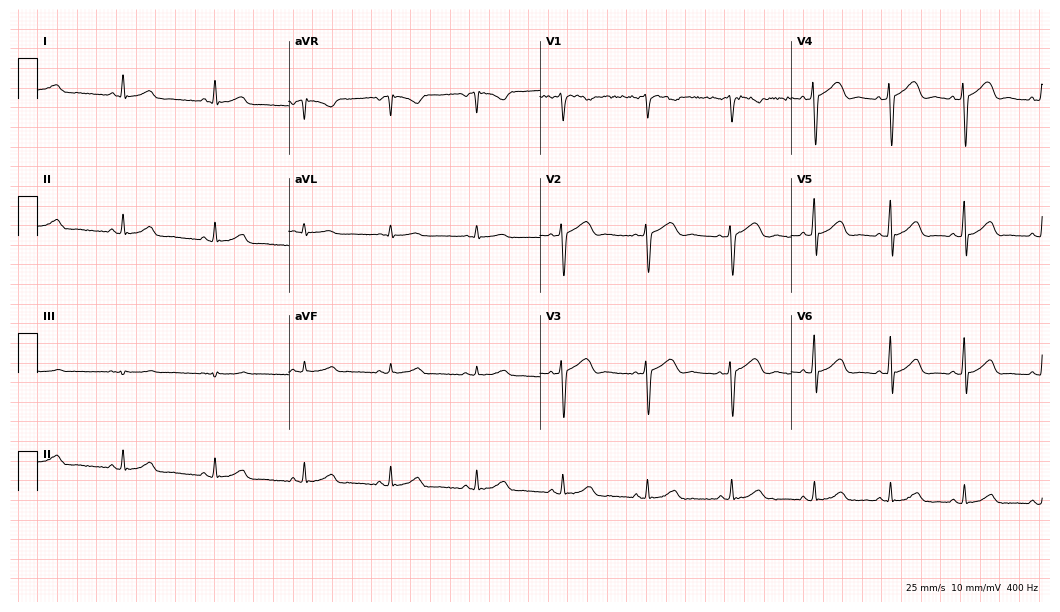
ECG (10.2-second recording at 400 Hz) — a 50-year-old male patient. Labelled as a normal ECG.